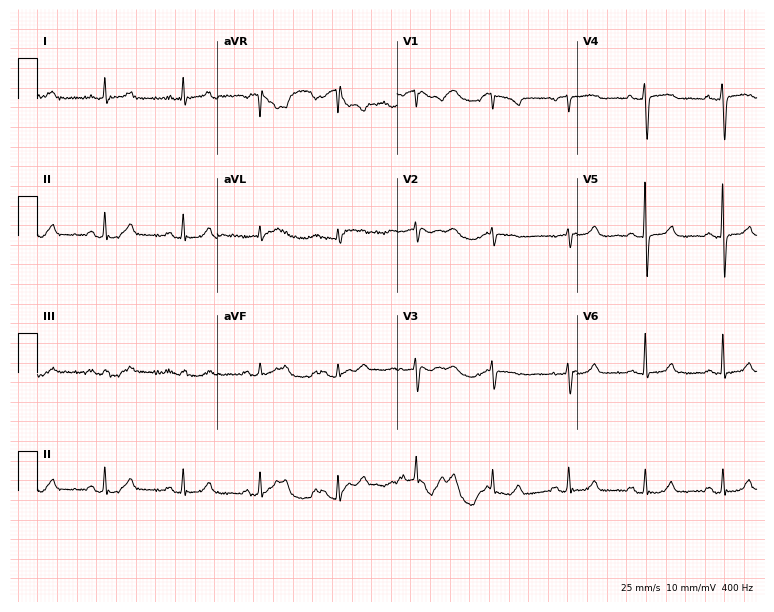
Electrocardiogram, a 63-year-old female patient. Overall reading on record: normal ECG.